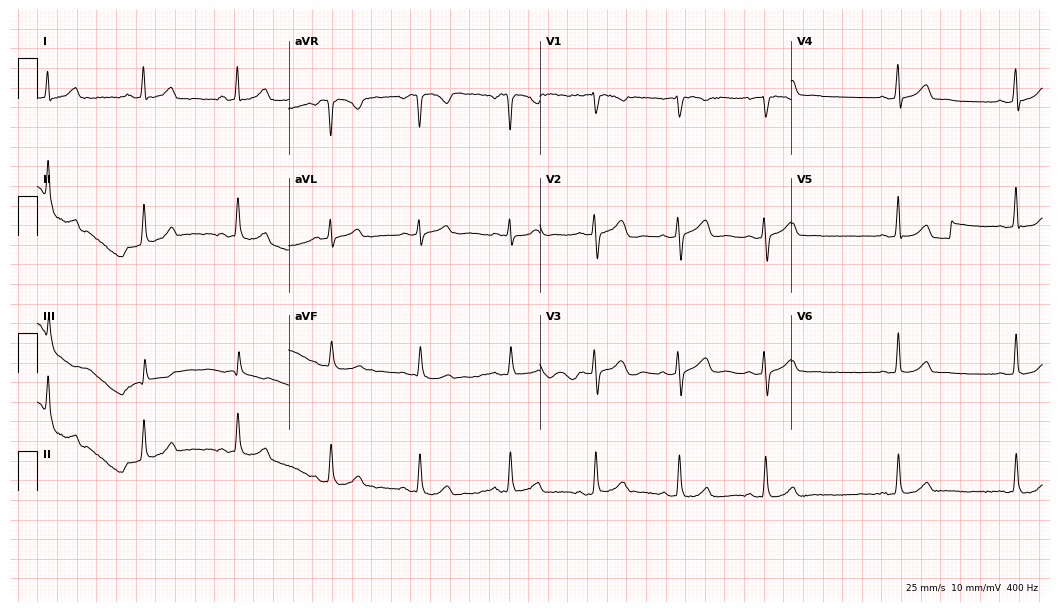
ECG (10.2-second recording at 400 Hz) — a 33-year-old woman. Labelled as a normal ECG.